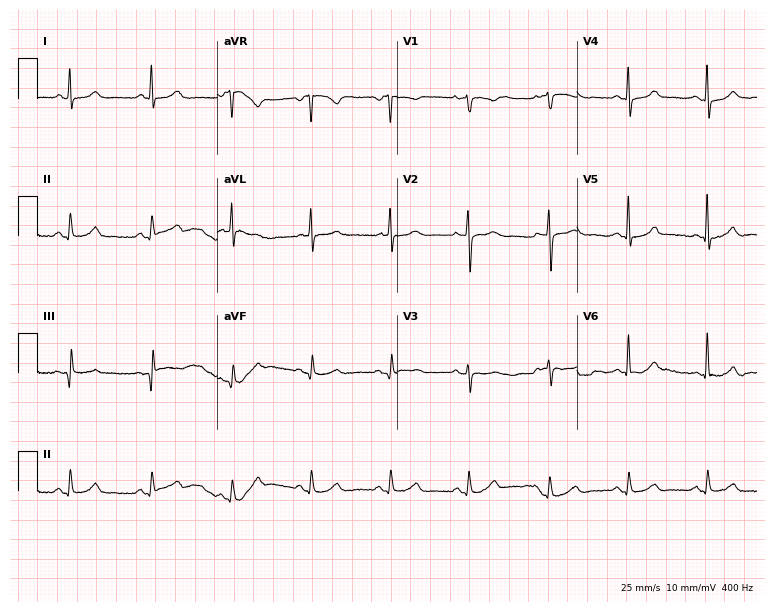
ECG — a female patient, 56 years old. Labelled as a normal ECG.